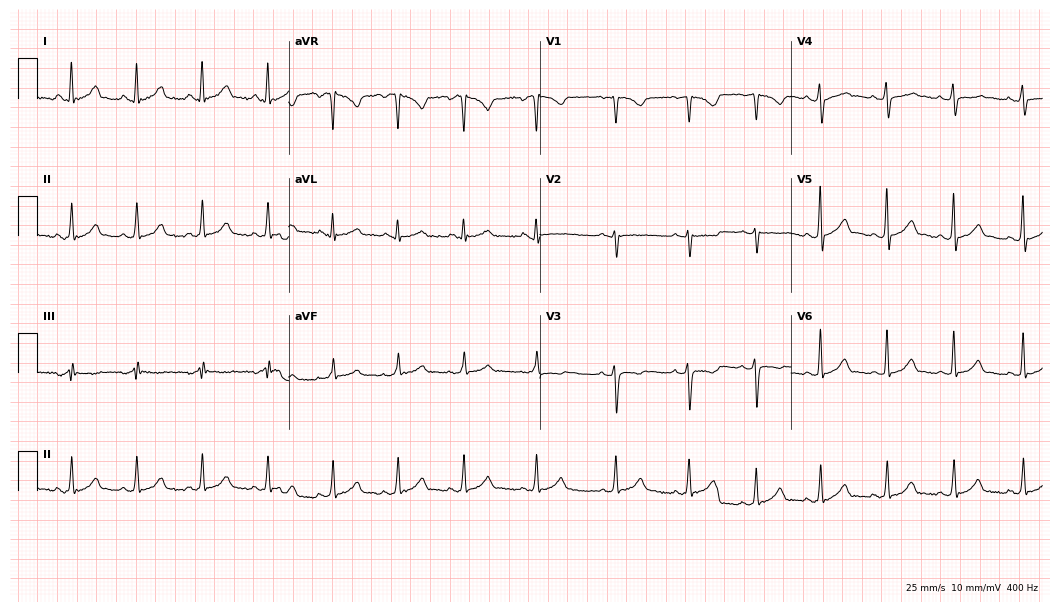
ECG (10.2-second recording at 400 Hz) — a 28-year-old female patient. Labelled as a normal ECG.